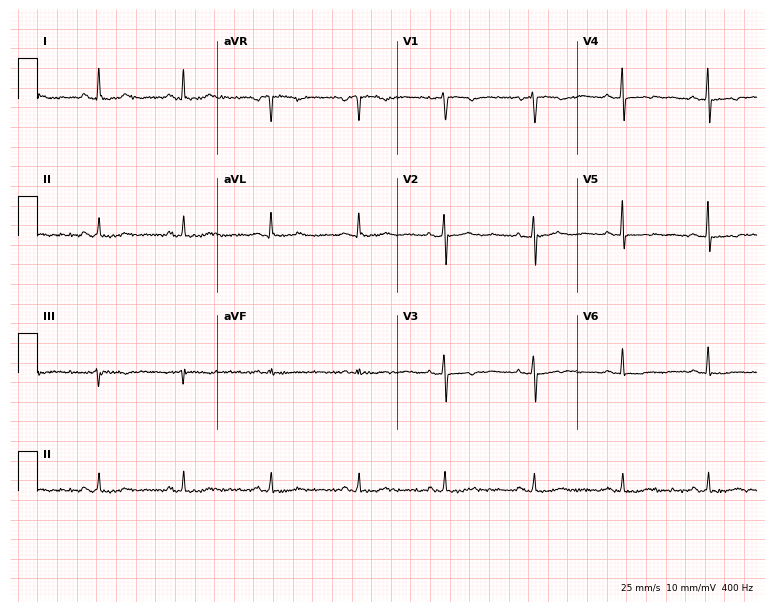
Standard 12-lead ECG recorded from a woman, 53 years old (7.3-second recording at 400 Hz). None of these six findings is recorded: first-degree AV block, right bundle branch block, left bundle branch block, sinus bradycardia, atrial fibrillation, sinus tachycardia.